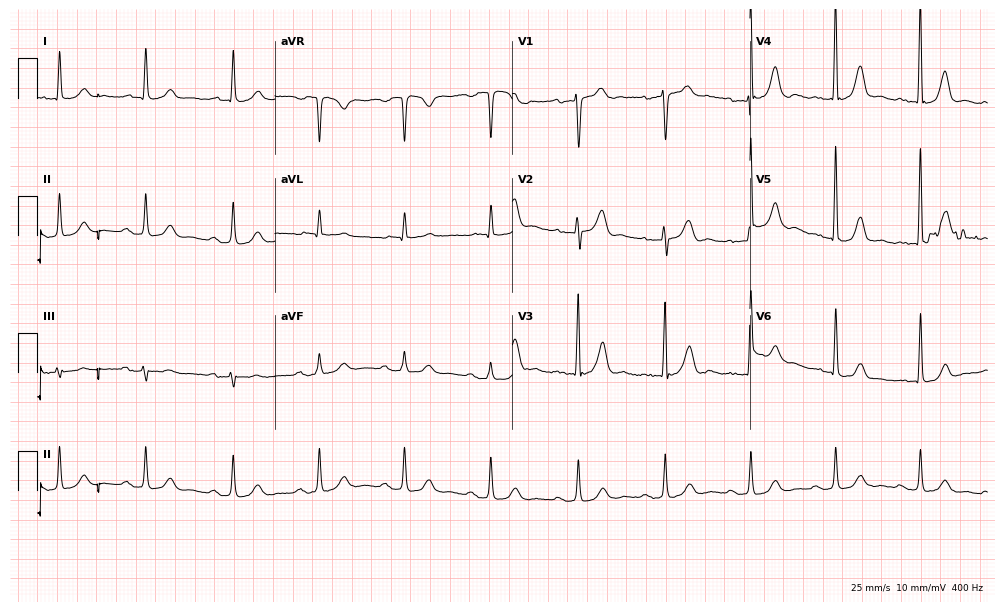
ECG (9.7-second recording at 400 Hz) — a 74-year-old male patient. Labelled as a normal ECG.